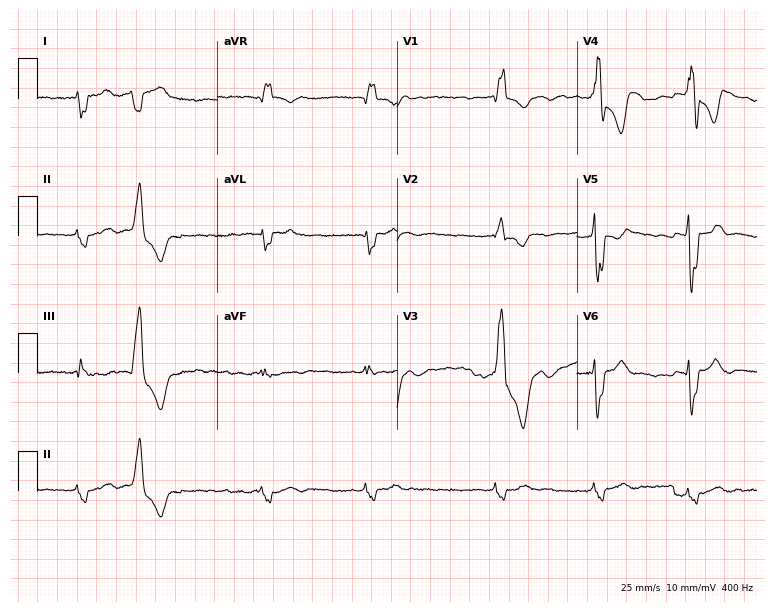
Resting 12-lead electrocardiogram (7.3-second recording at 400 Hz). Patient: a 70-year-old man. None of these six findings is recorded: first-degree AV block, right bundle branch block, left bundle branch block, sinus bradycardia, atrial fibrillation, sinus tachycardia. Other findings, if any, are not listed.